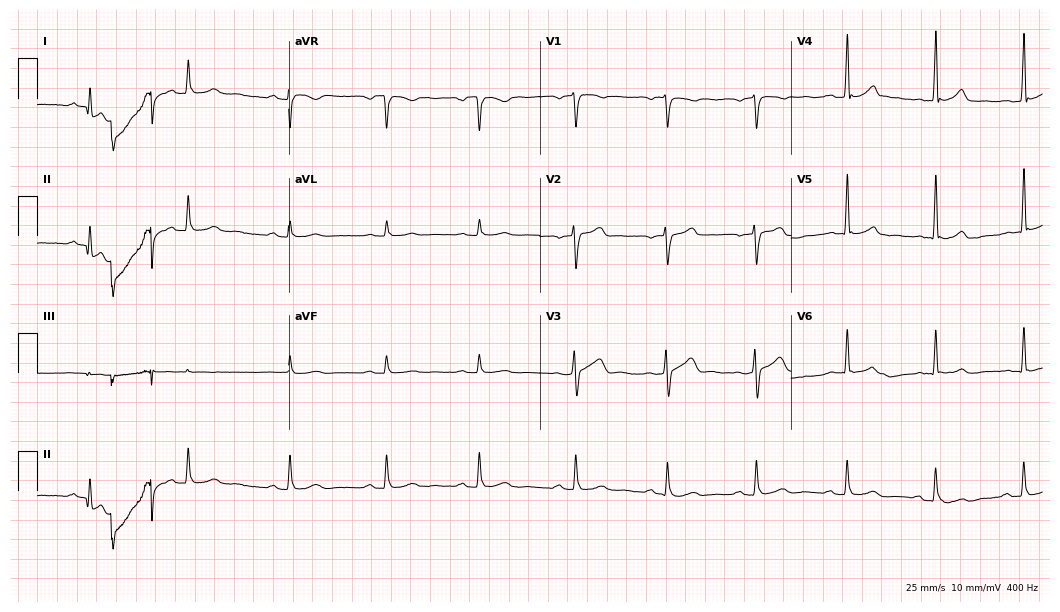
Resting 12-lead electrocardiogram (10.2-second recording at 400 Hz). Patient: a 46-year-old male. Read as a normal ECG.